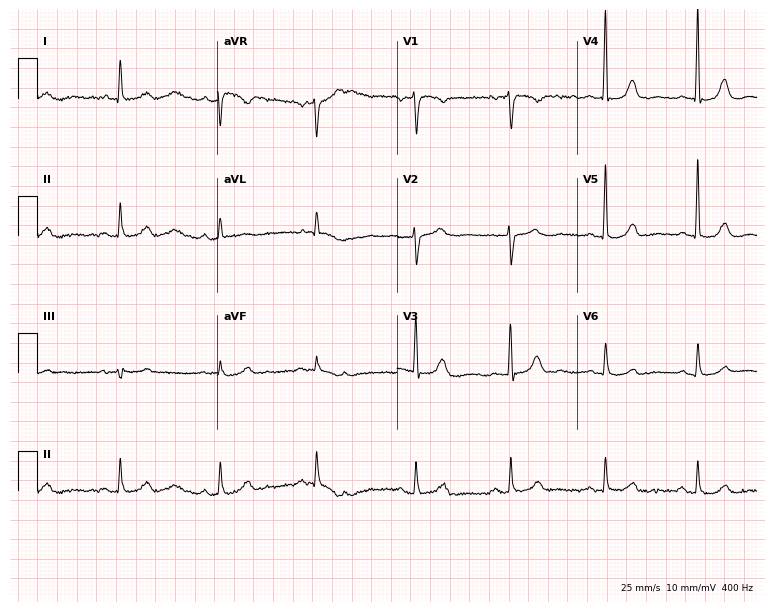
ECG — a woman, 79 years old. Labelled as a normal ECG.